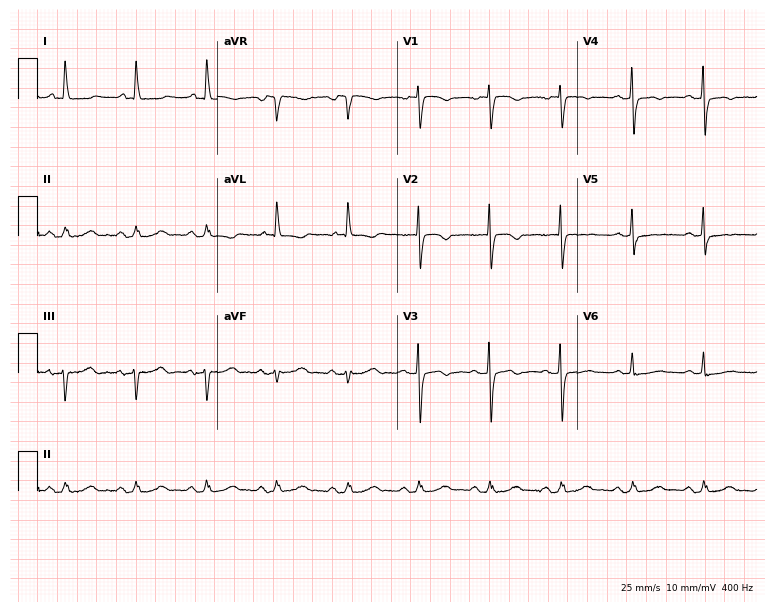
Electrocardiogram (7.3-second recording at 400 Hz), a 76-year-old woman. Of the six screened findings (first-degree AV block, right bundle branch block, left bundle branch block, sinus bradycardia, atrial fibrillation, sinus tachycardia), none is recorded. Only these six findings were labelled.